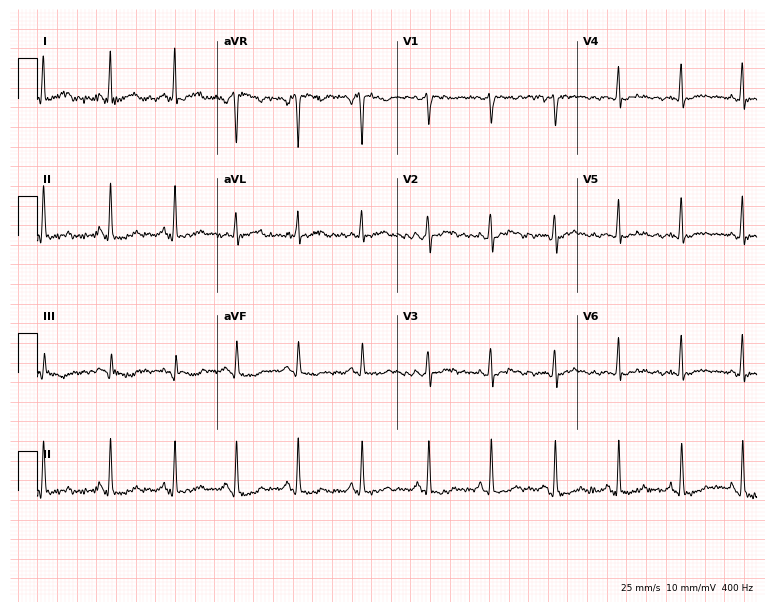
12-lead ECG (7.3-second recording at 400 Hz) from a 36-year-old female patient. Screened for six findings — first-degree AV block, right bundle branch block, left bundle branch block, sinus bradycardia, atrial fibrillation, sinus tachycardia — none is recorded.